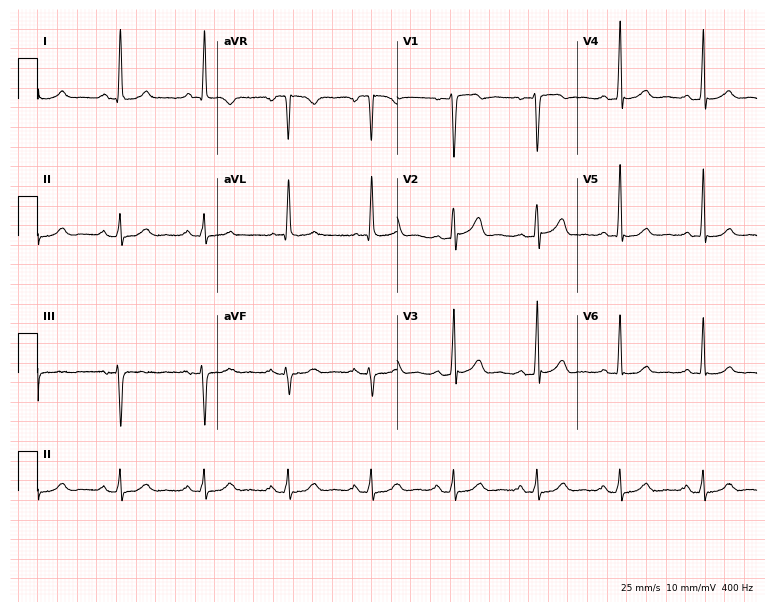
Electrocardiogram (7.3-second recording at 400 Hz), a male, 61 years old. Of the six screened findings (first-degree AV block, right bundle branch block, left bundle branch block, sinus bradycardia, atrial fibrillation, sinus tachycardia), none is recorded. Only these six findings were labelled.